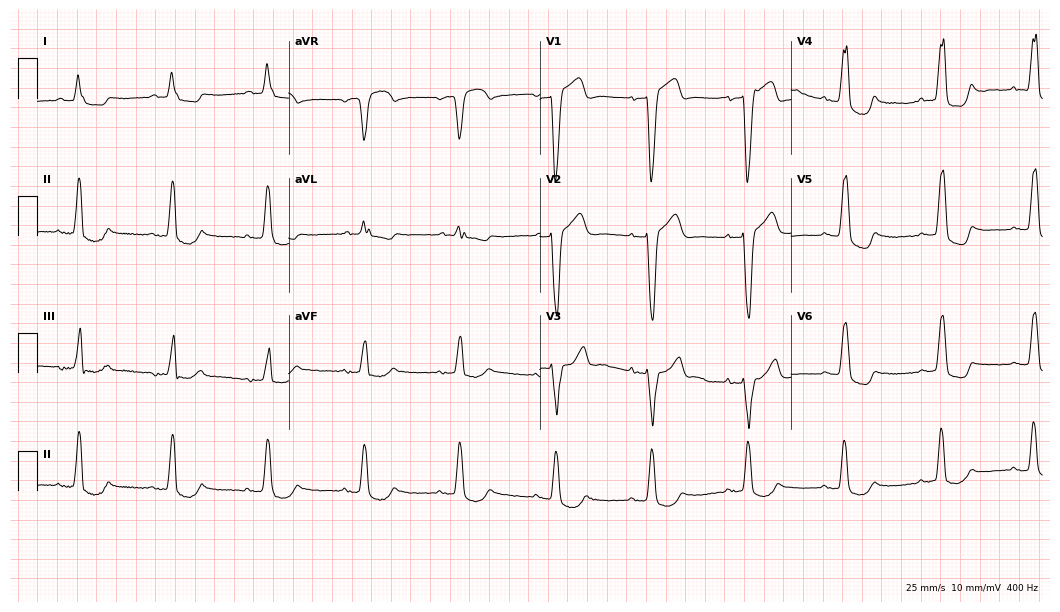
12-lead ECG (10.2-second recording at 400 Hz) from an 83-year-old female patient. Screened for six findings — first-degree AV block, right bundle branch block (RBBB), left bundle branch block (LBBB), sinus bradycardia, atrial fibrillation (AF), sinus tachycardia — none is recorded.